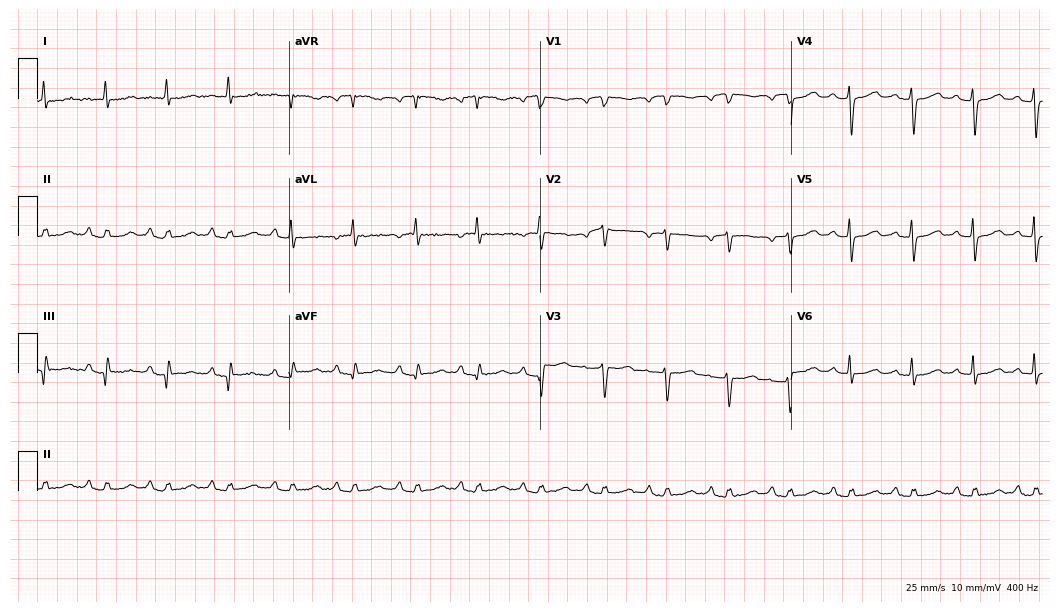
12-lead ECG from a female patient, 69 years old (10.2-second recording at 400 Hz). No first-degree AV block, right bundle branch block, left bundle branch block, sinus bradycardia, atrial fibrillation or sinus tachycardia recorded for this tracing. Other findings, if any, are not listed.